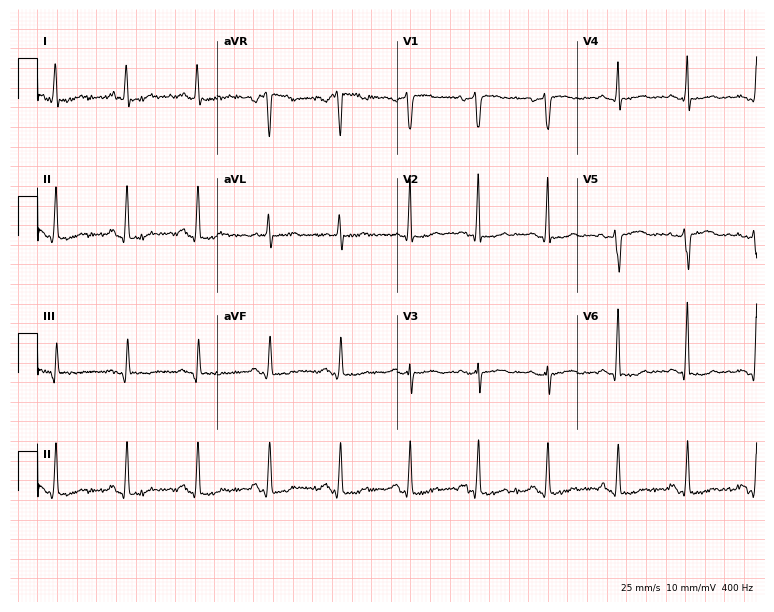
12-lead ECG from a female patient, 52 years old (7.3-second recording at 400 Hz). No first-degree AV block, right bundle branch block (RBBB), left bundle branch block (LBBB), sinus bradycardia, atrial fibrillation (AF) or sinus tachycardia recorded for this tracing.